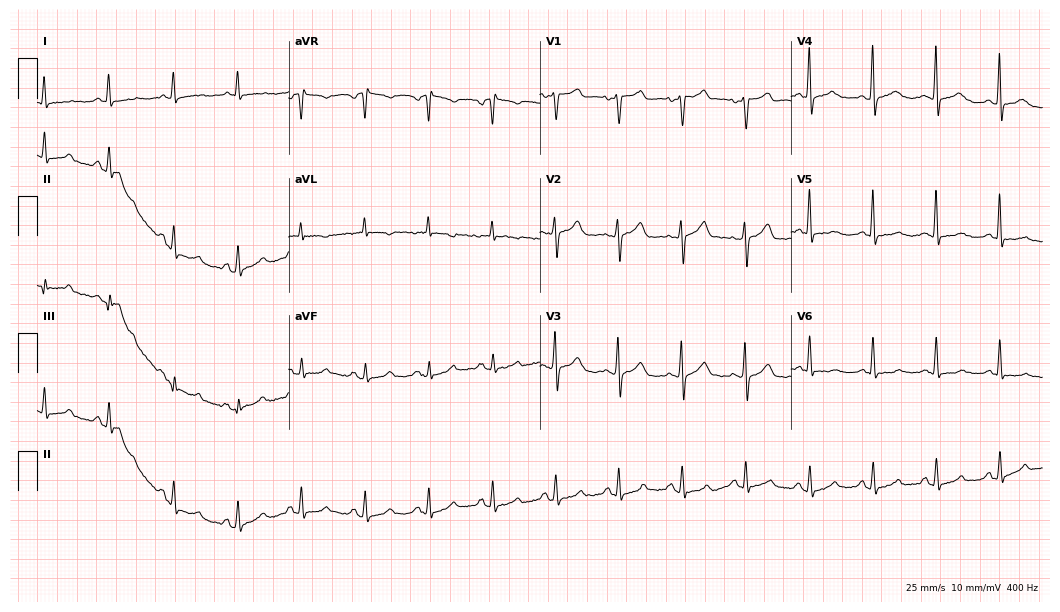
Standard 12-lead ECG recorded from a 64-year-old female. Read as a normal ECG.